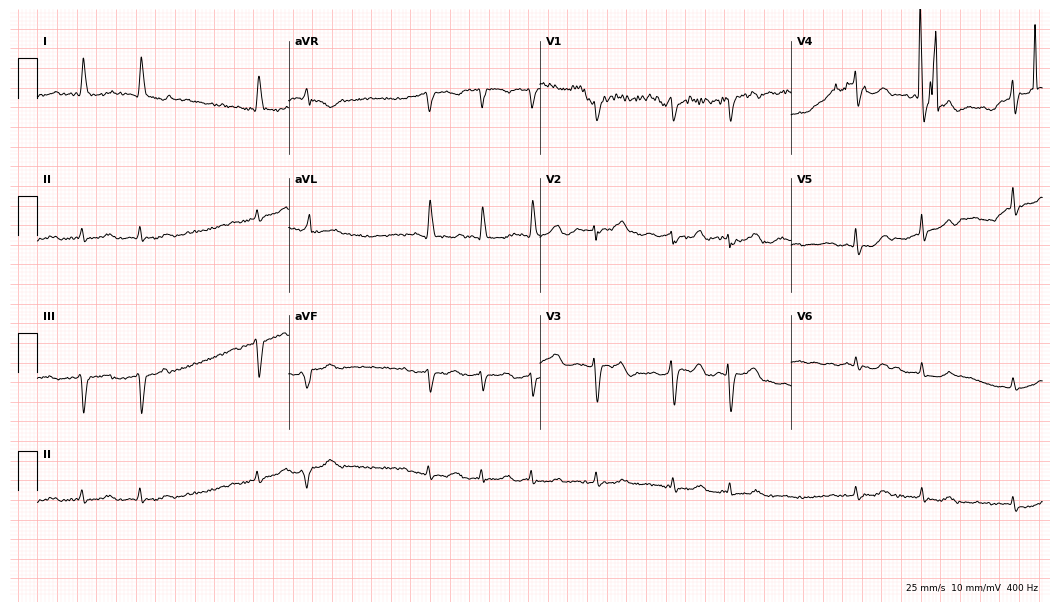
12-lead ECG from a female patient, 85 years old. No first-degree AV block, right bundle branch block, left bundle branch block, sinus bradycardia, atrial fibrillation or sinus tachycardia recorded for this tracing. Only these six findings were labelled.